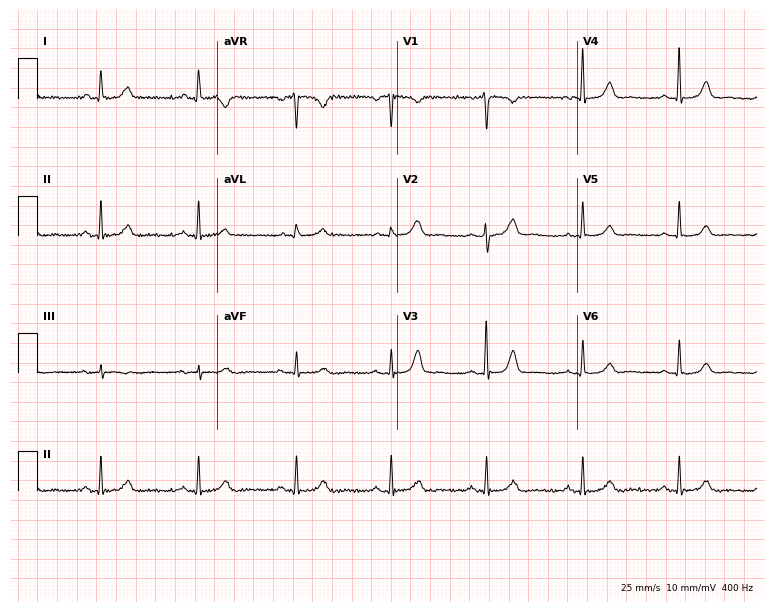
Standard 12-lead ECG recorded from a 51-year-old woman. Read as a normal ECG.